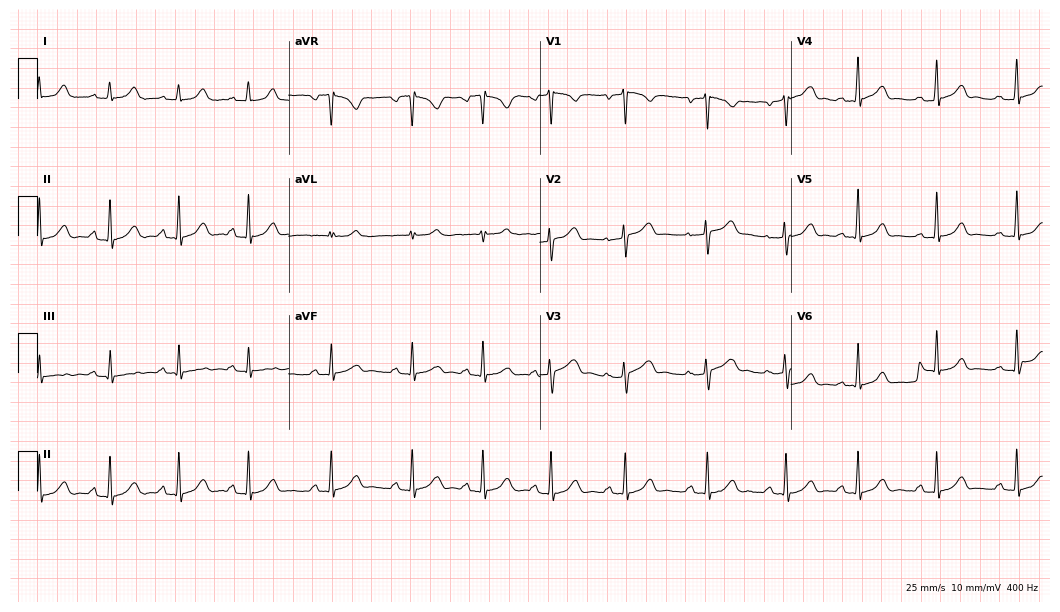
12-lead ECG from a female patient, 29 years old. Recorded interpretation: within normal limits.